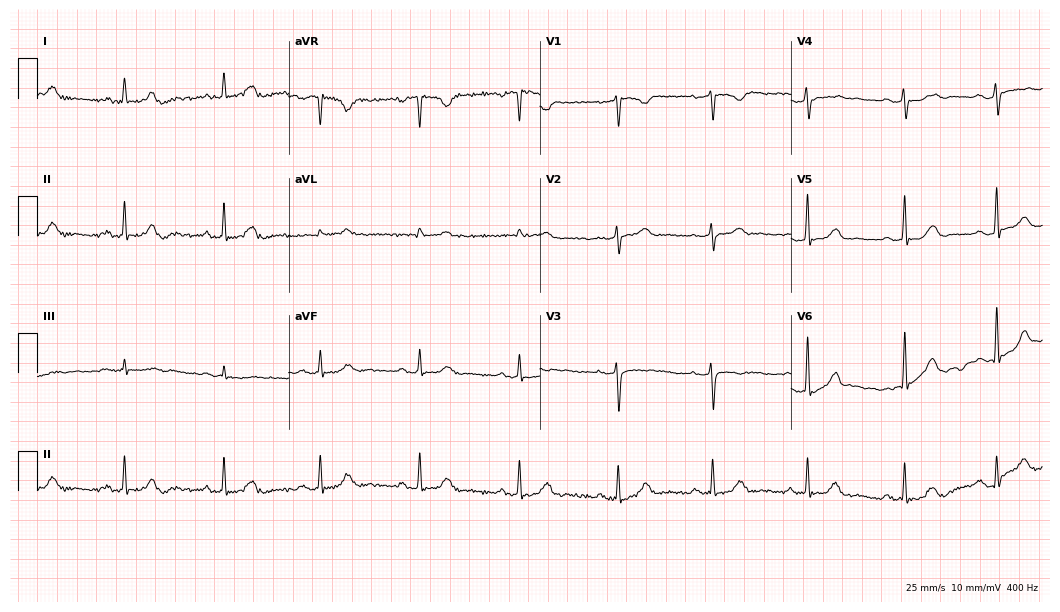
12-lead ECG from a 35-year-old female patient. Recorded interpretation: within normal limits.